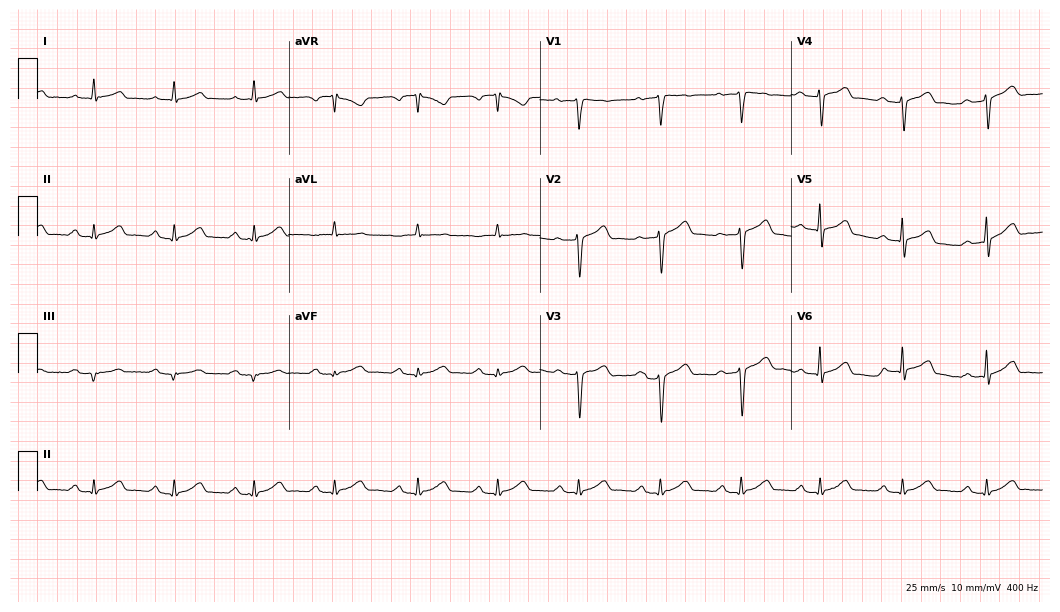
12-lead ECG from a 73-year-old man. Findings include first-degree AV block.